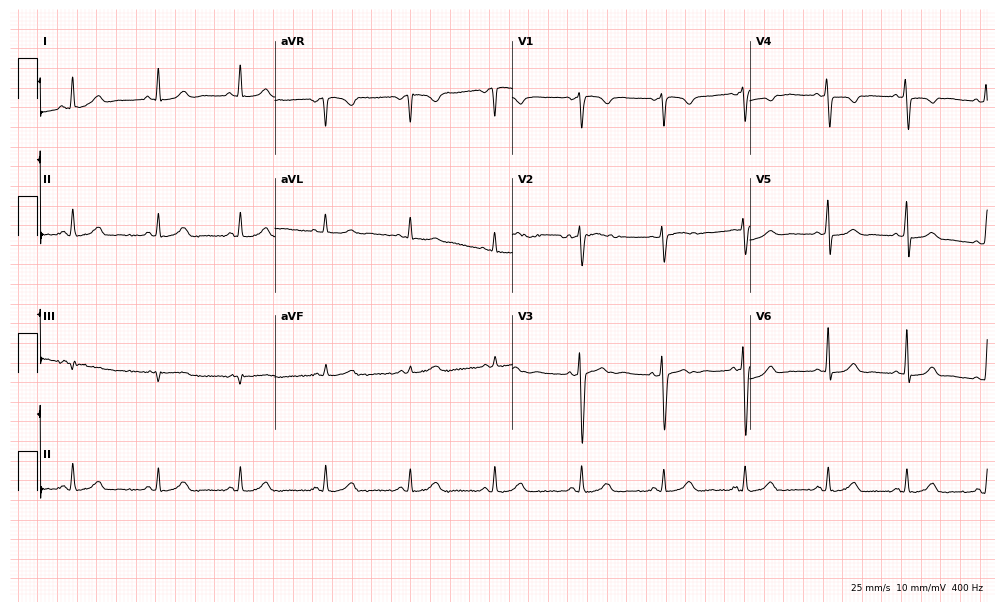
Electrocardiogram, a 26-year-old female patient. Overall reading on record: normal ECG.